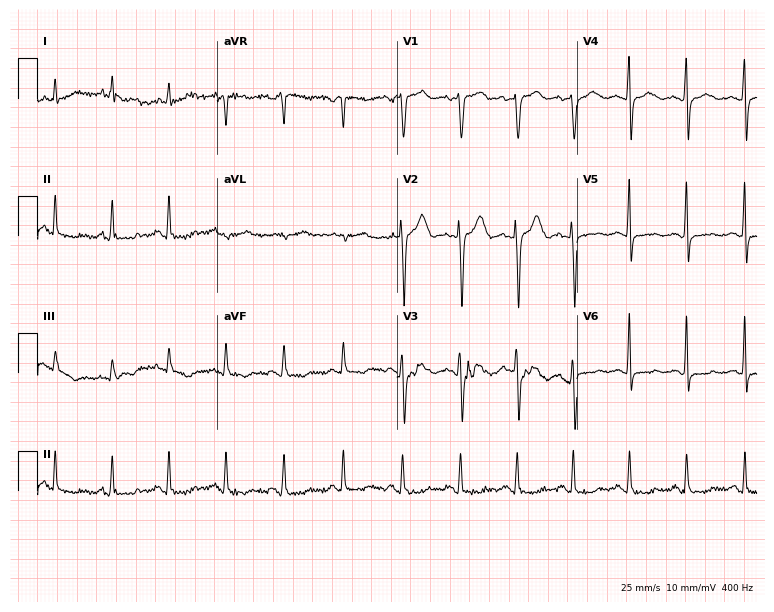
Standard 12-lead ECG recorded from a woman, 48 years old. The tracing shows sinus tachycardia (a sinus rate of 100 beats per minute or more).